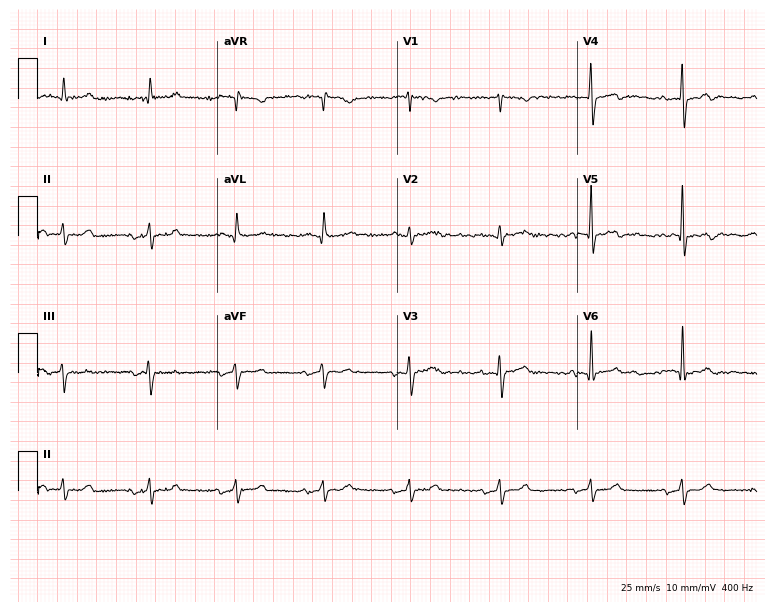
Electrocardiogram (7.3-second recording at 400 Hz), a man, 79 years old. Of the six screened findings (first-degree AV block, right bundle branch block, left bundle branch block, sinus bradycardia, atrial fibrillation, sinus tachycardia), none is recorded.